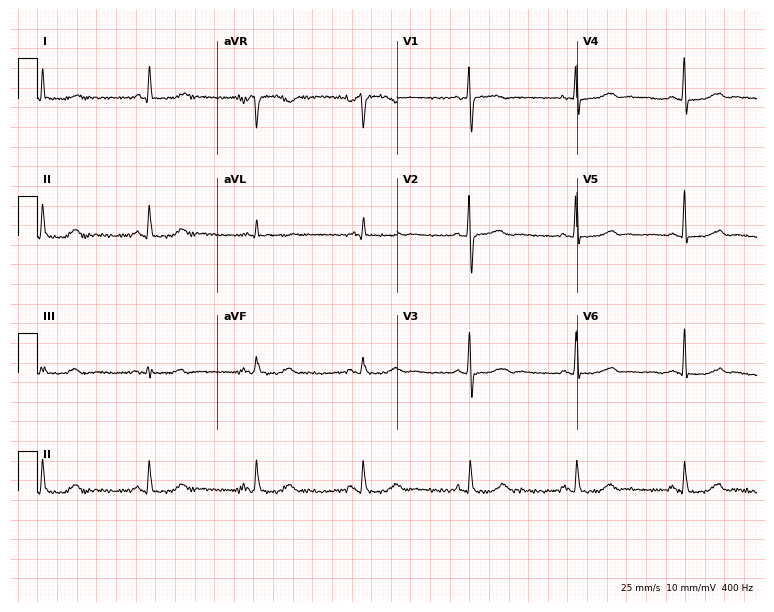
12-lead ECG from a female, 77 years old. Labelled as a normal ECG.